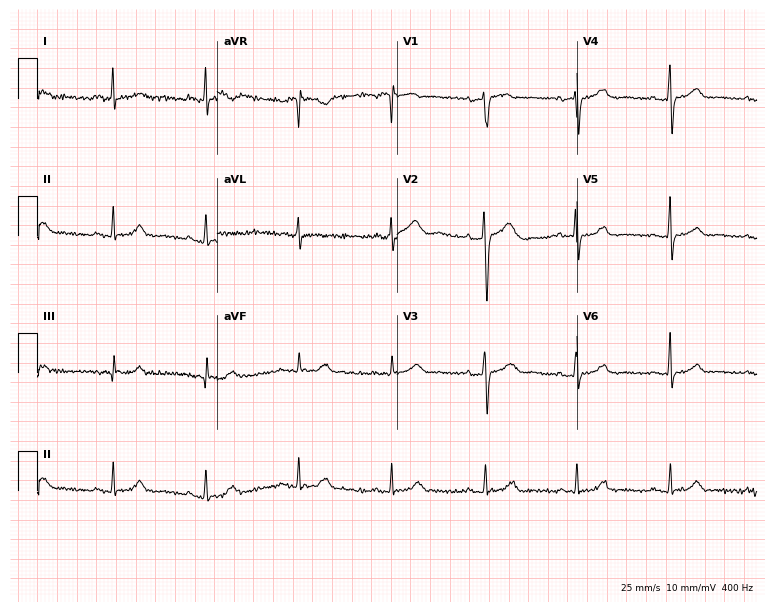
12-lead ECG from a 69-year-old woman. Recorded interpretation: within normal limits.